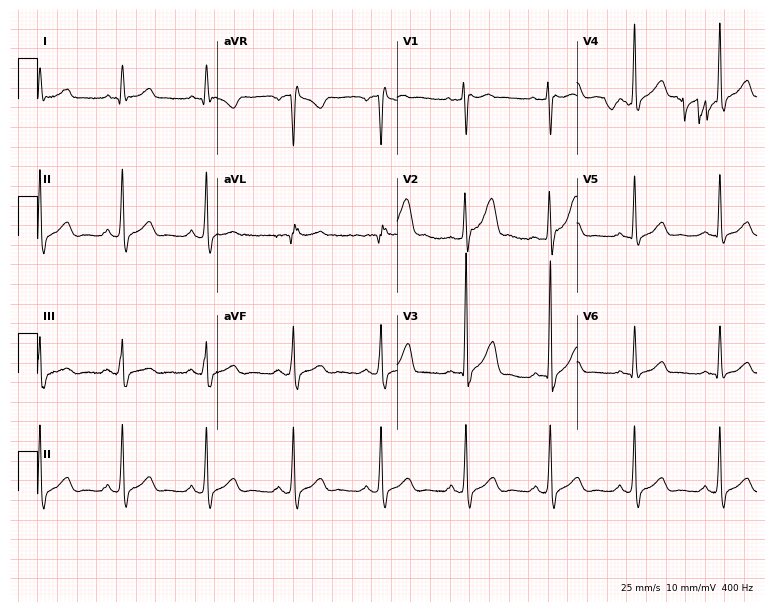
ECG — a female patient, 43 years old. Screened for six findings — first-degree AV block, right bundle branch block, left bundle branch block, sinus bradycardia, atrial fibrillation, sinus tachycardia — none is recorded.